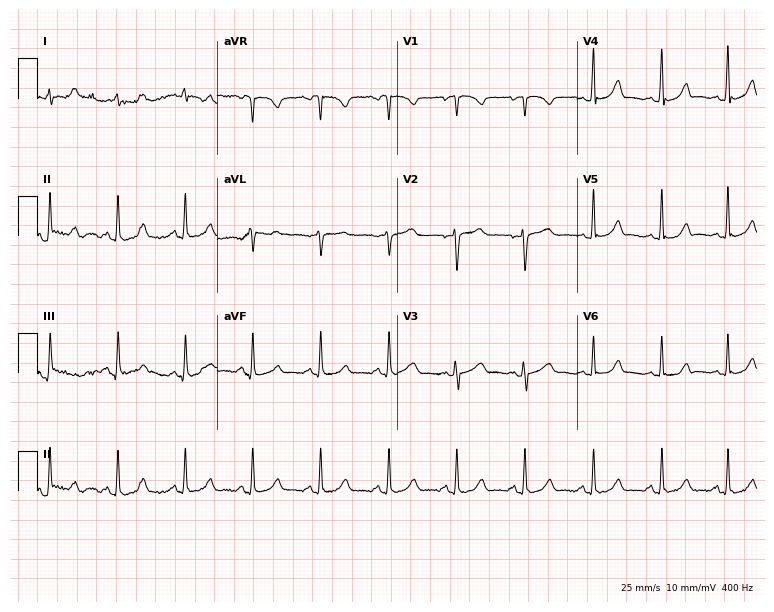
12-lead ECG from a woman, 23 years old (7.3-second recording at 400 Hz). Recorded interpretation: within normal limits.